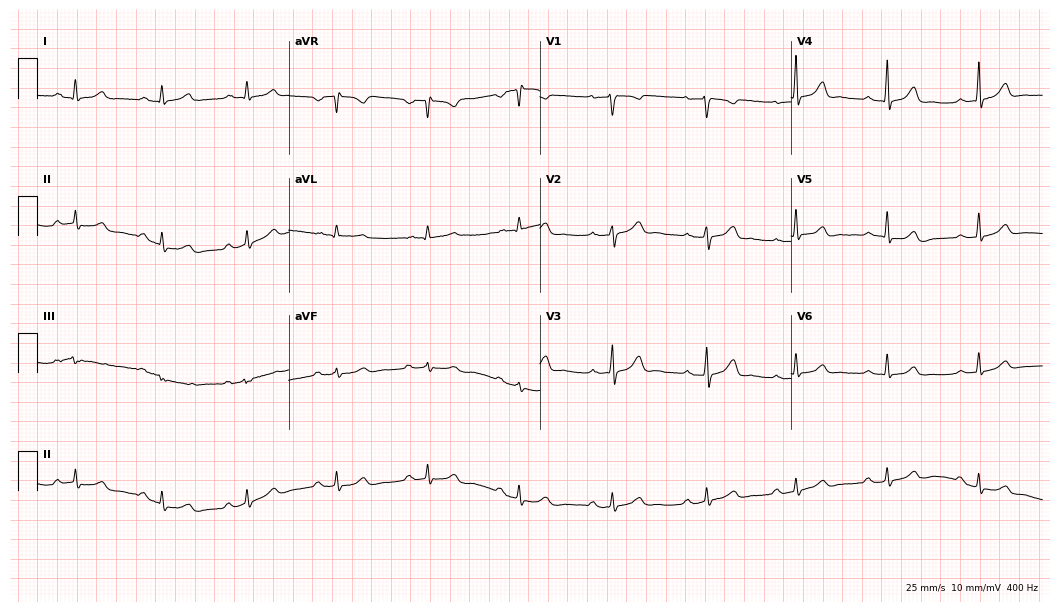
Electrocardiogram, a 35-year-old male patient. Overall reading on record: normal ECG.